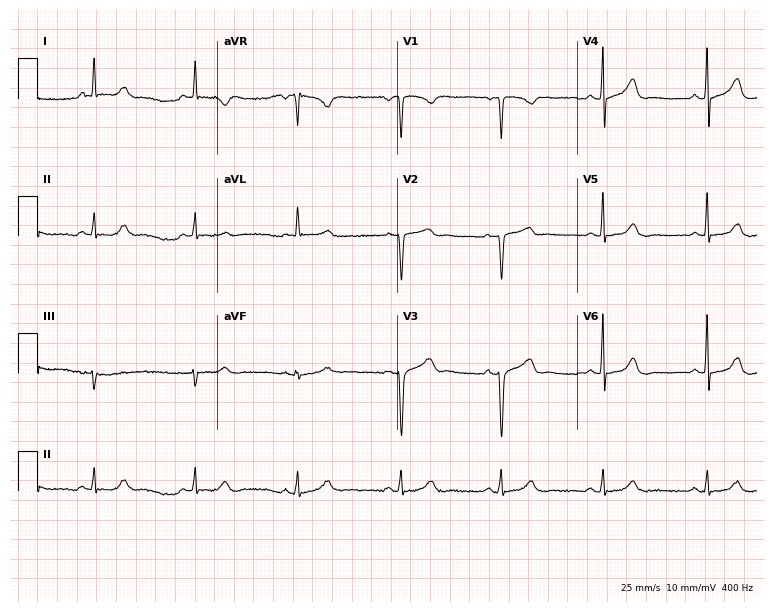
ECG (7.3-second recording at 400 Hz) — a 61-year-old woman. Labelled as a normal ECG.